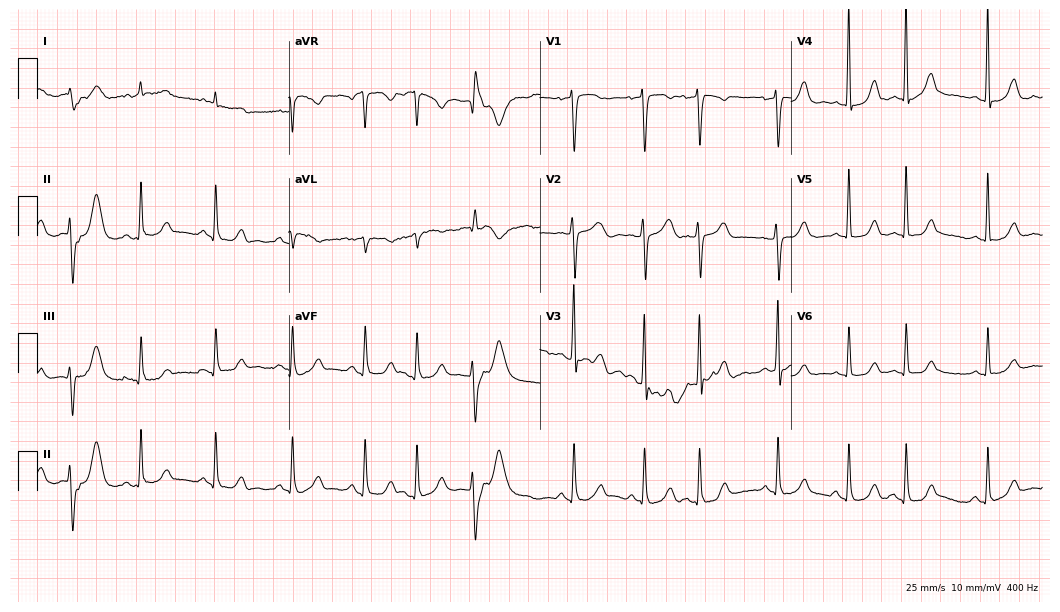
Electrocardiogram, a 61-year-old male. Of the six screened findings (first-degree AV block, right bundle branch block (RBBB), left bundle branch block (LBBB), sinus bradycardia, atrial fibrillation (AF), sinus tachycardia), none is recorded. Findings outside these six are not listed.